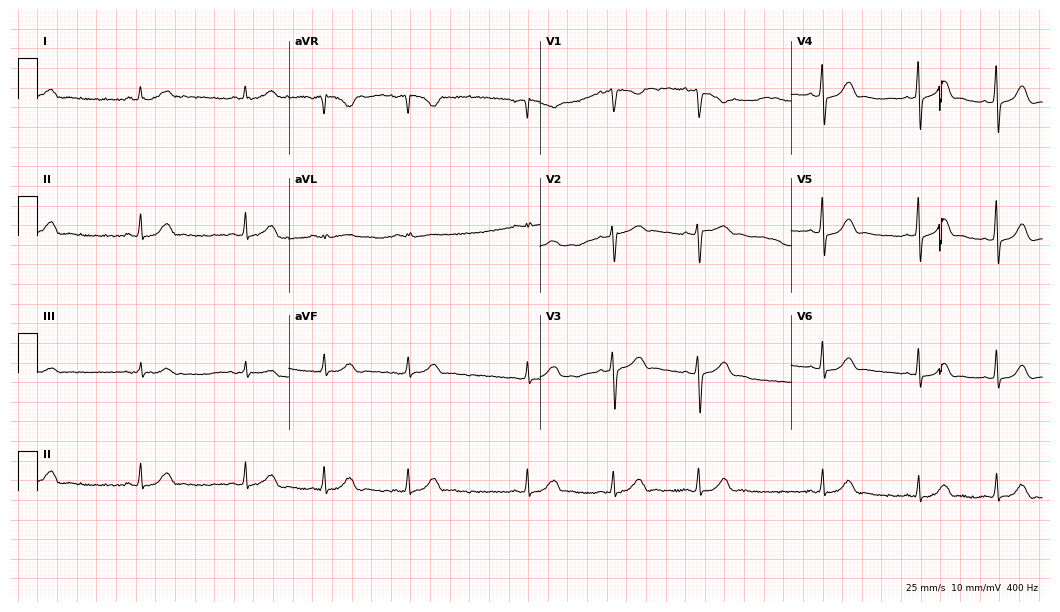
Resting 12-lead electrocardiogram. Patient: a female, 32 years old. Read as a normal ECG.